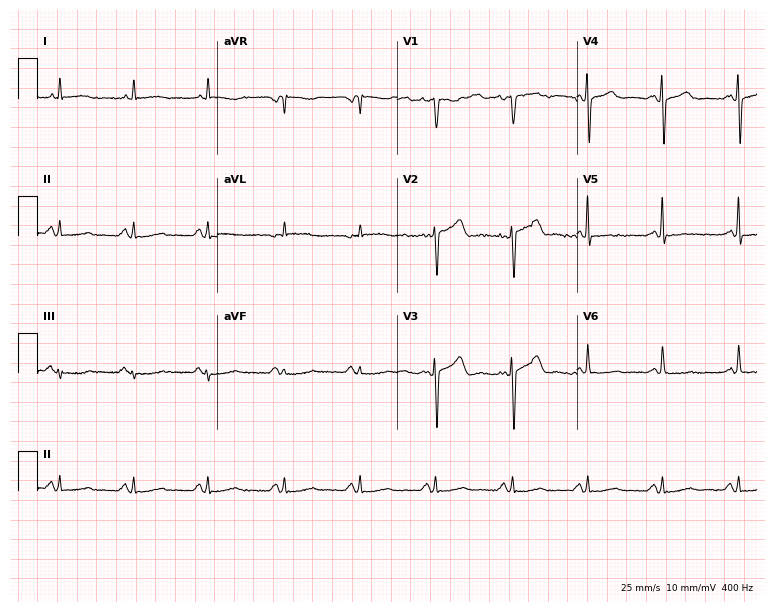
ECG (7.3-second recording at 400 Hz) — a male, 50 years old. Screened for six findings — first-degree AV block, right bundle branch block, left bundle branch block, sinus bradycardia, atrial fibrillation, sinus tachycardia — none is recorded. Other findings, if any, are not listed.